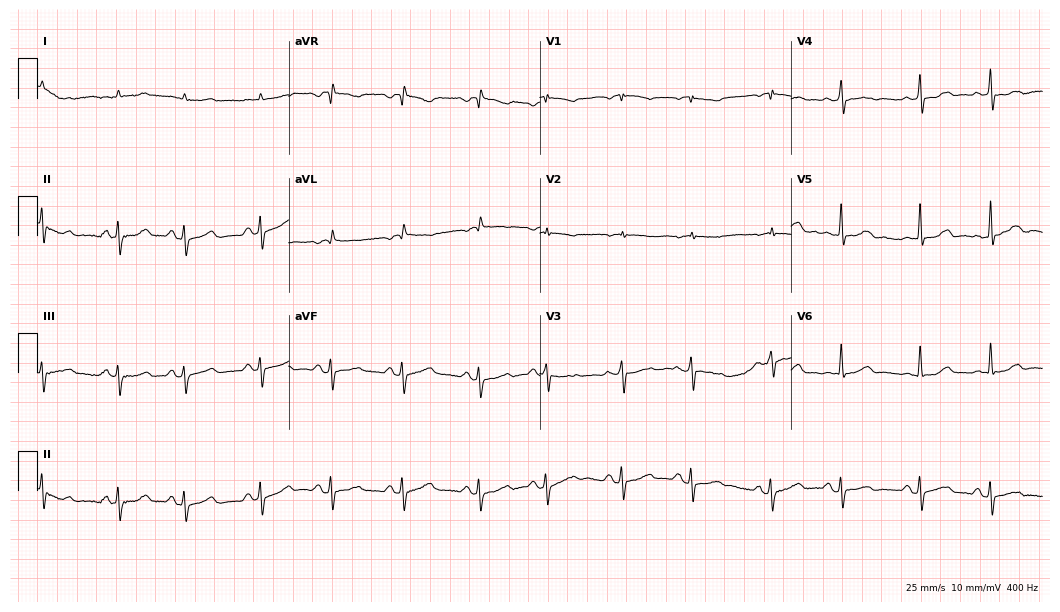
Electrocardiogram, a male, 80 years old. Of the six screened findings (first-degree AV block, right bundle branch block, left bundle branch block, sinus bradycardia, atrial fibrillation, sinus tachycardia), none is recorded. Only these six findings were labelled.